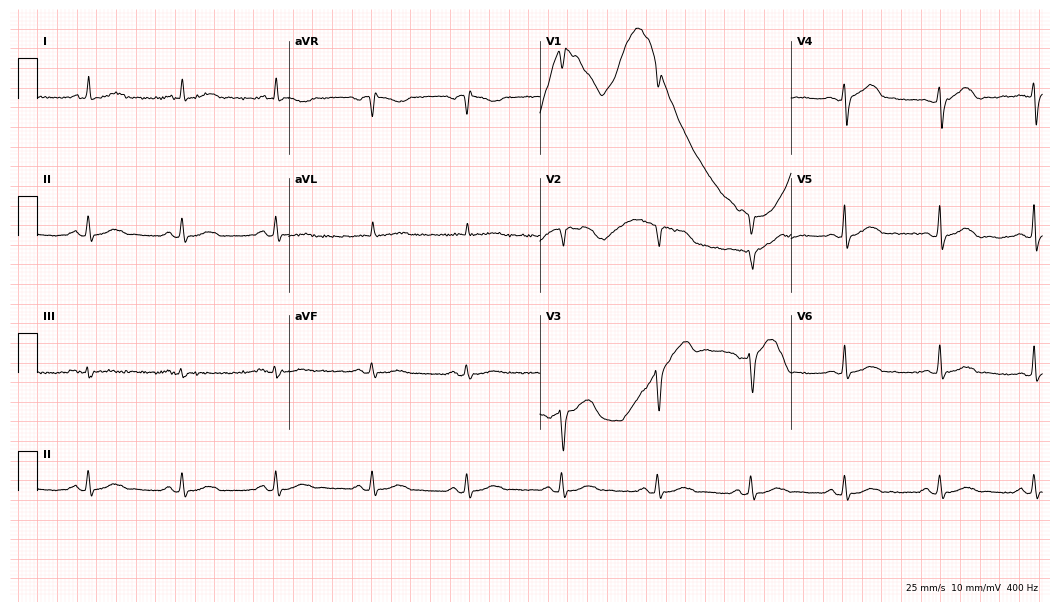
ECG (10.2-second recording at 400 Hz) — a 63-year-old male patient. Screened for six findings — first-degree AV block, right bundle branch block, left bundle branch block, sinus bradycardia, atrial fibrillation, sinus tachycardia — none is recorded.